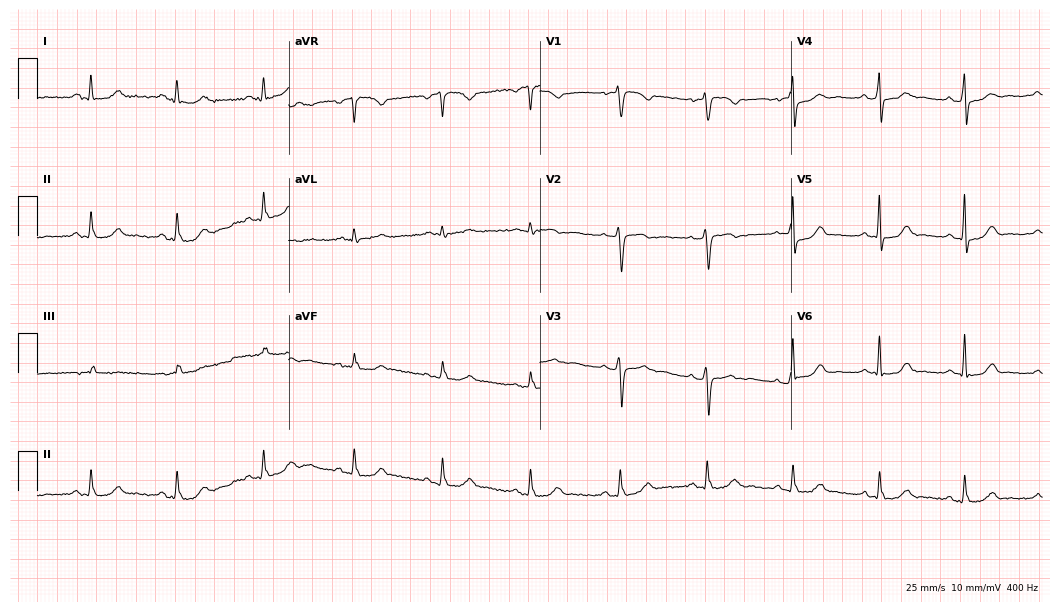
12-lead ECG from a 55-year-old female patient. No first-degree AV block, right bundle branch block (RBBB), left bundle branch block (LBBB), sinus bradycardia, atrial fibrillation (AF) or sinus tachycardia recorded for this tracing.